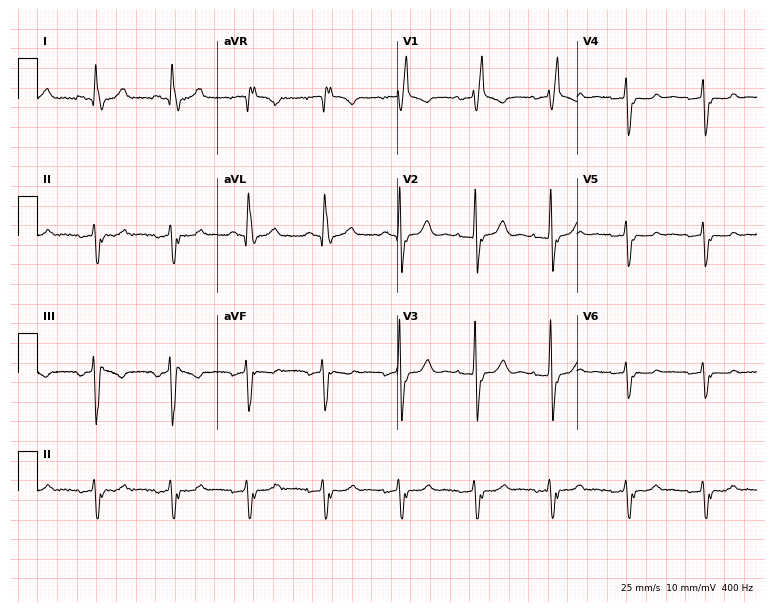
Electrocardiogram (7.3-second recording at 400 Hz), a female patient, 67 years old. Interpretation includes right bundle branch block.